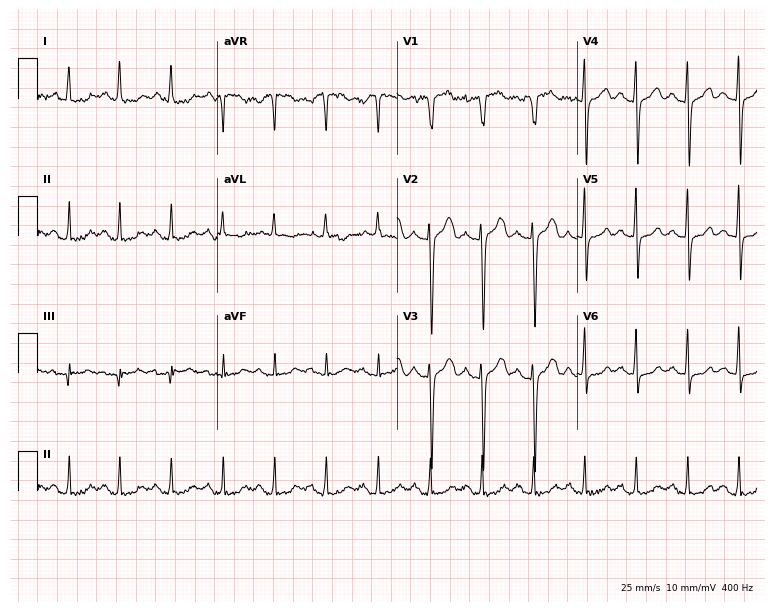
Standard 12-lead ECG recorded from a female patient, 58 years old (7.3-second recording at 400 Hz). The tracing shows sinus tachycardia (a sinus rate of 100 beats per minute or more).